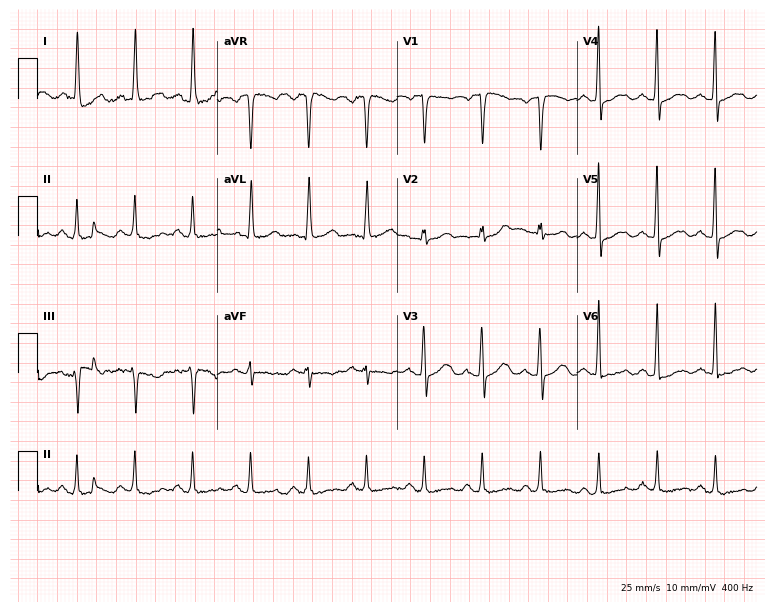
ECG (7.3-second recording at 400 Hz) — a 74-year-old female. Findings include sinus tachycardia (a sinus rate of 100 beats per minute or more).